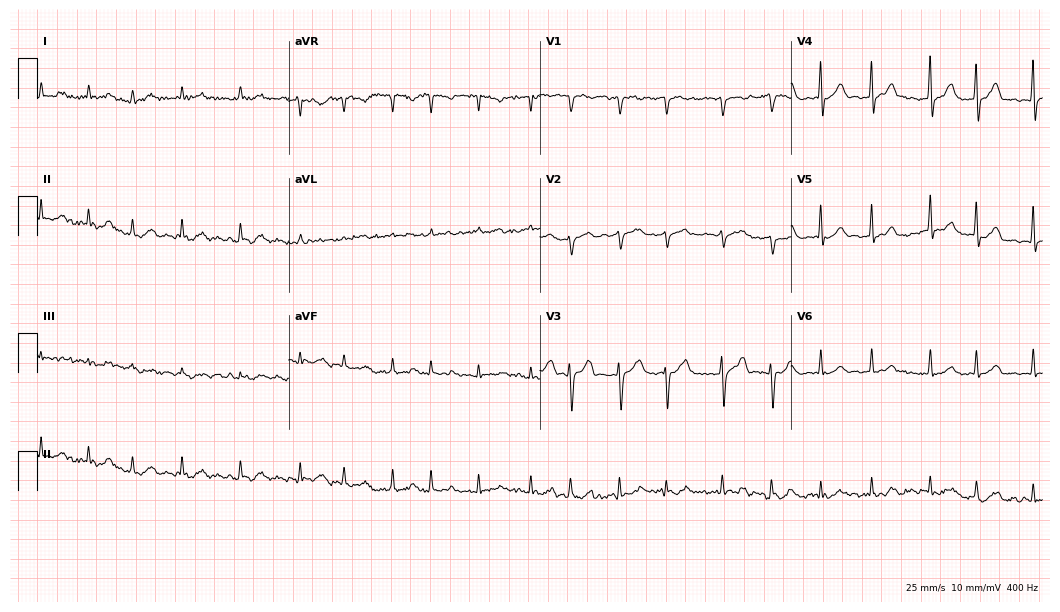
Electrocardiogram (10.2-second recording at 400 Hz), a female, 76 years old. Interpretation includes atrial fibrillation, sinus tachycardia (a sinus rate of 100 beats per minute or more).